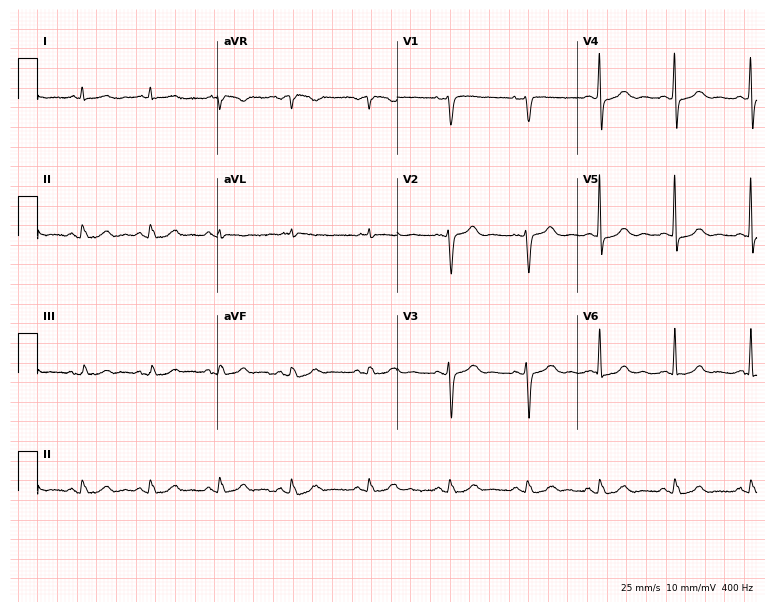
Electrocardiogram (7.3-second recording at 400 Hz), a woman, 63 years old. Overall reading on record: normal ECG.